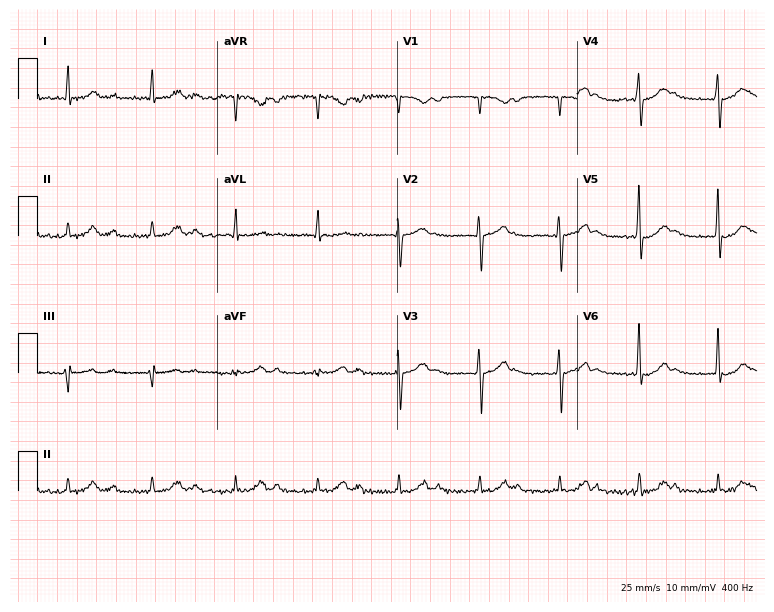
Standard 12-lead ECG recorded from a male, 75 years old. Read as a normal ECG.